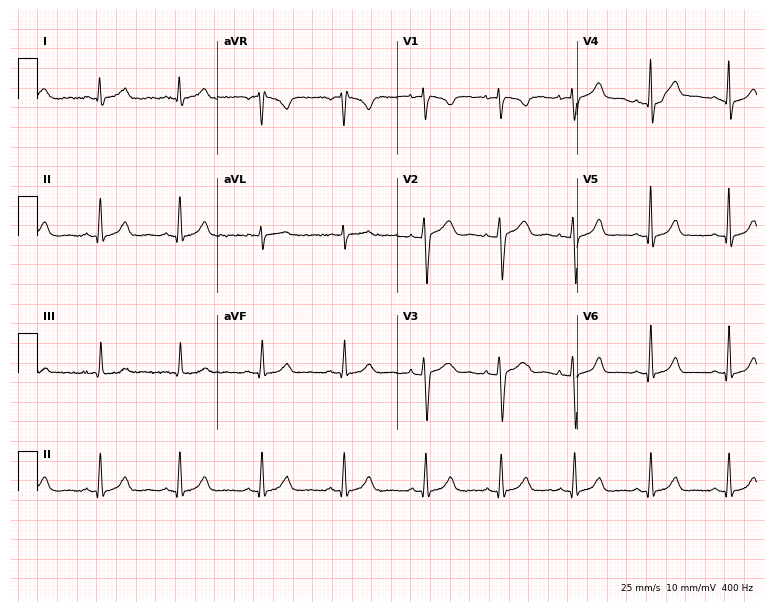
Electrocardiogram (7.3-second recording at 400 Hz), a 27-year-old female patient. Overall reading on record: normal ECG.